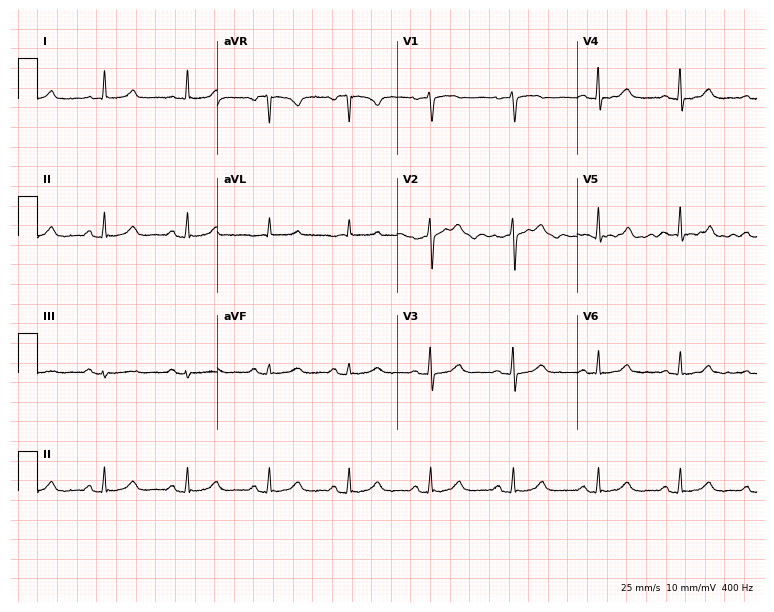
Standard 12-lead ECG recorded from a female patient, 62 years old (7.3-second recording at 400 Hz). Read as a normal ECG.